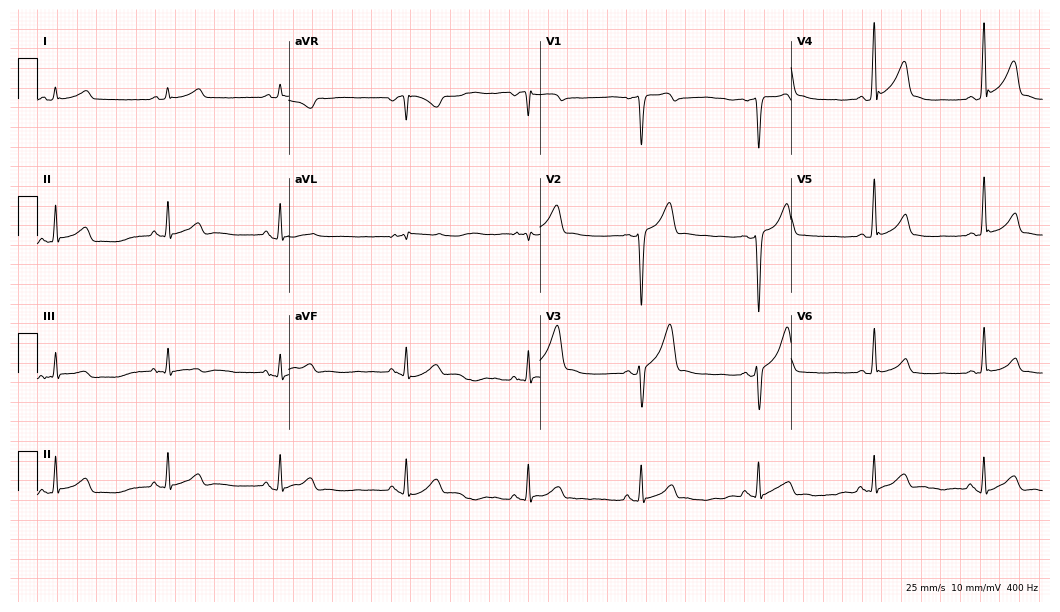
Electrocardiogram, a male patient, 24 years old. Of the six screened findings (first-degree AV block, right bundle branch block, left bundle branch block, sinus bradycardia, atrial fibrillation, sinus tachycardia), none is recorded.